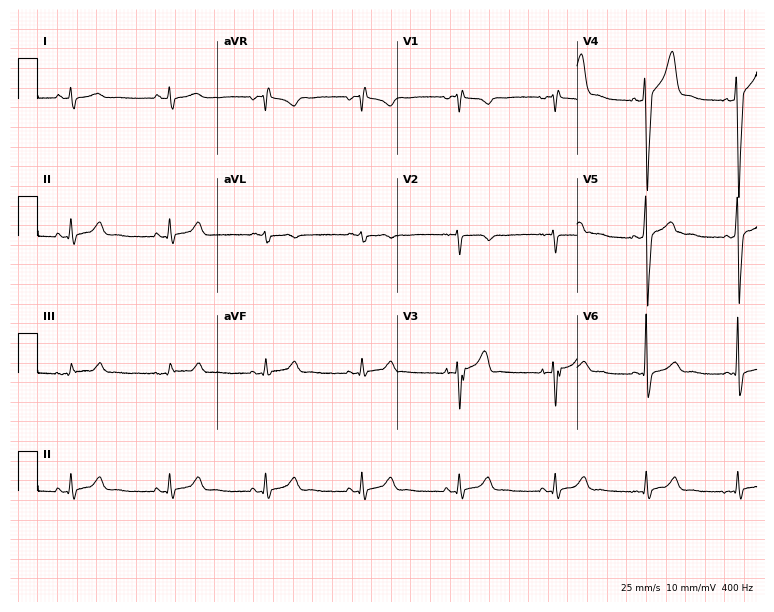
12-lead ECG from a man, 40 years old (7.3-second recording at 400 Hz). No first-degree AV block, right bundle branch block, left bundle branch block, sinus bradycardia, atrial fibrillation or sinus tachycardia recorded for this tracing. Only these six findings were labelled.